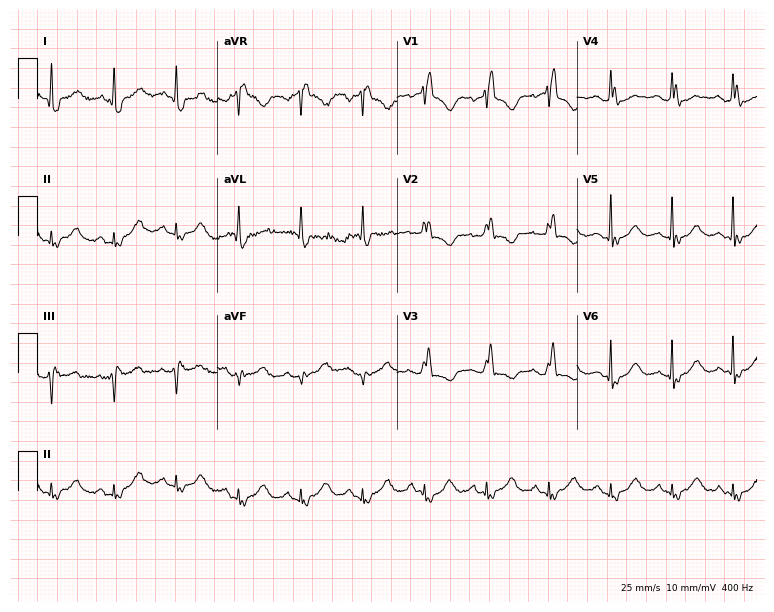
Resting 12-lead electrocardiogram (7.3-second recording at 400 Hz). Patient: a 55-year-old female. The tracing shows right bundle branch block (RBBB).